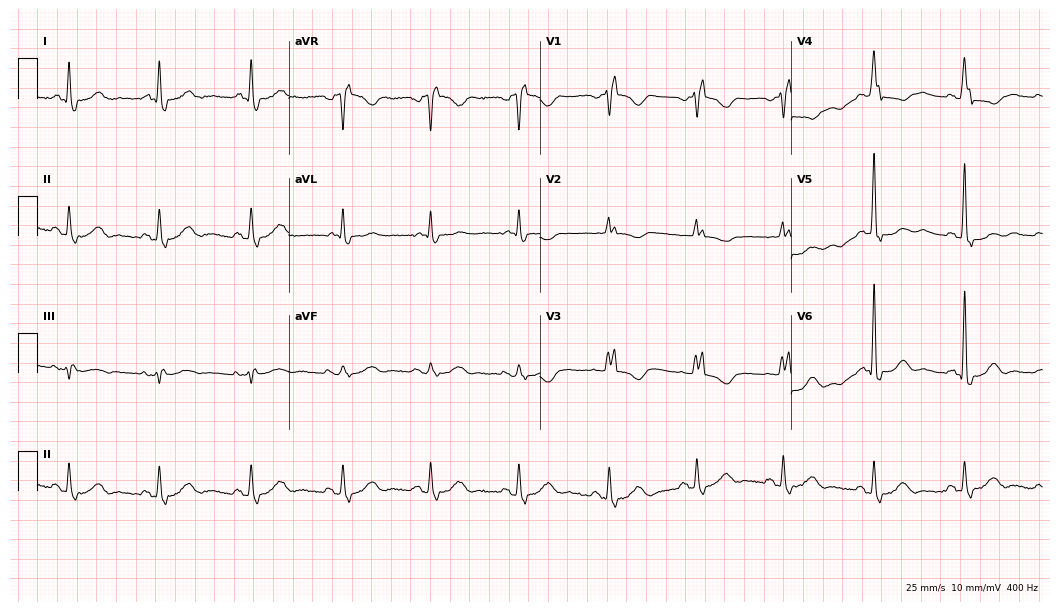
12-lead ECG from a 75-year-old woman (10.2-second recording at 400 Hz). No first-degree AV block, right bundle branch block (RBBB), left bundle branch block (LBBB), sinus bradycardia, atrial fibrillation (AF) or sinus tachycardia recorded for this tracing. Only these six findings were labelled.